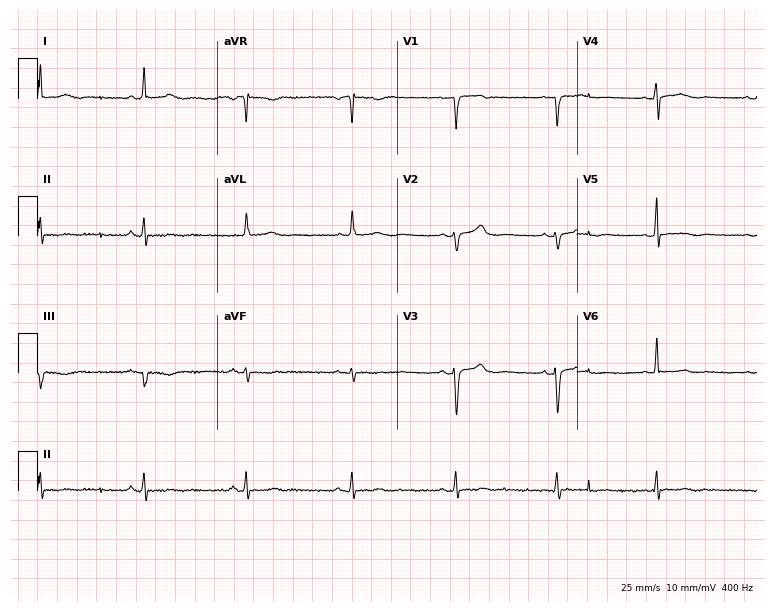
12-lead ECG from a woman, 48 years old (7.3-second recording at 400 Hz). Recorded interpretation: within normal limits.